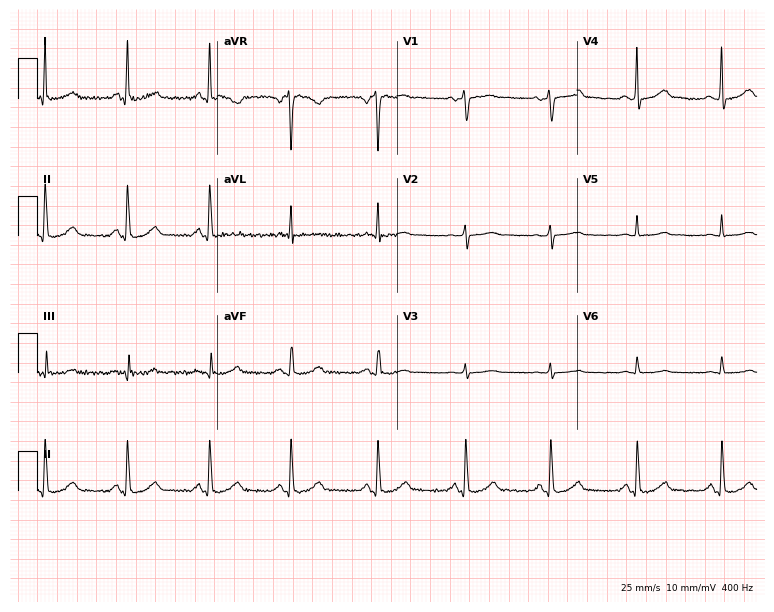
12-lead ECG (7.3-second recording at 400 Hz) from a 43-year-old female patient. Labelled as a normal ECG.